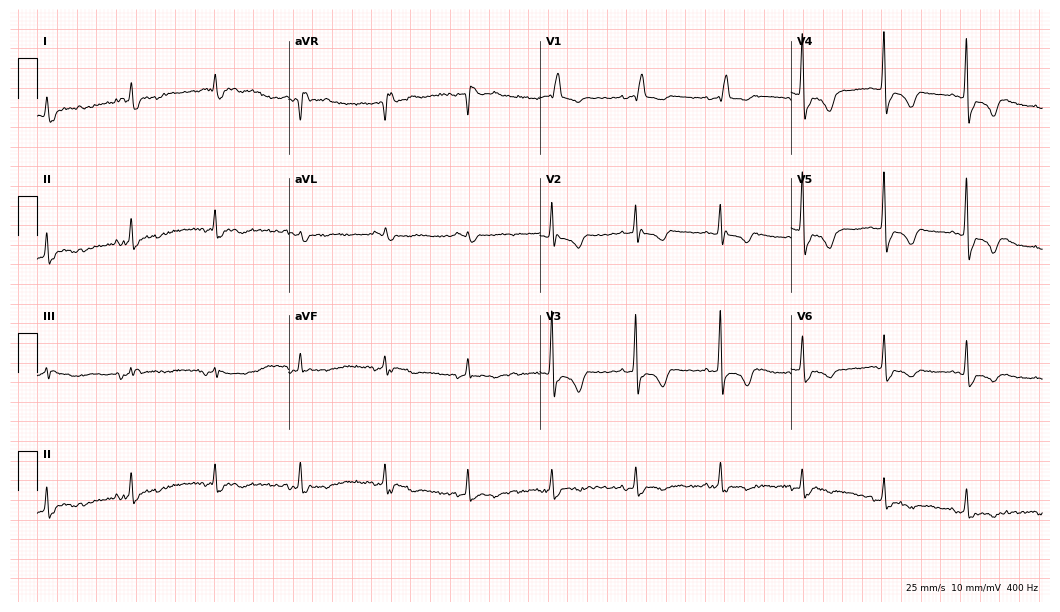
ECG (10.2-second recording at 400 Hz) — a male, 80 years old. Findings include right bundle branch block.